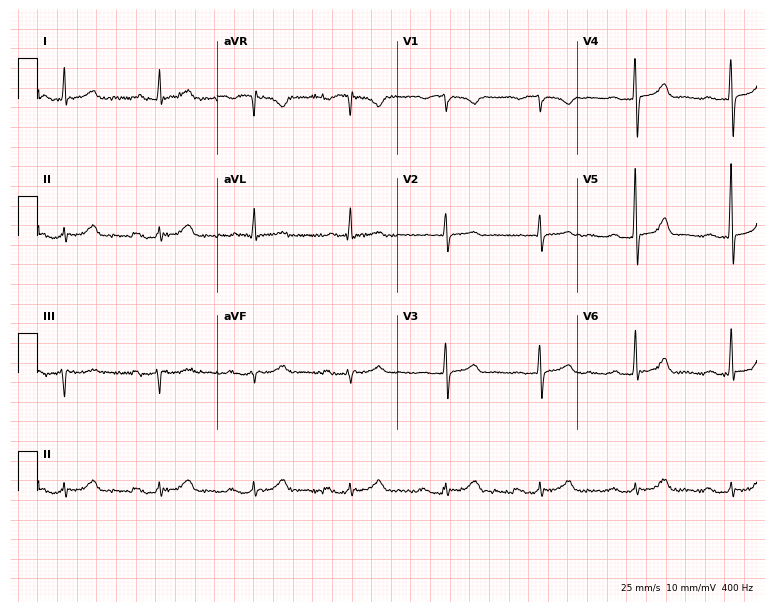
Resting 12-lead electrocardiogram. Patient: a male, 55 years old. Read as a normal ECG.